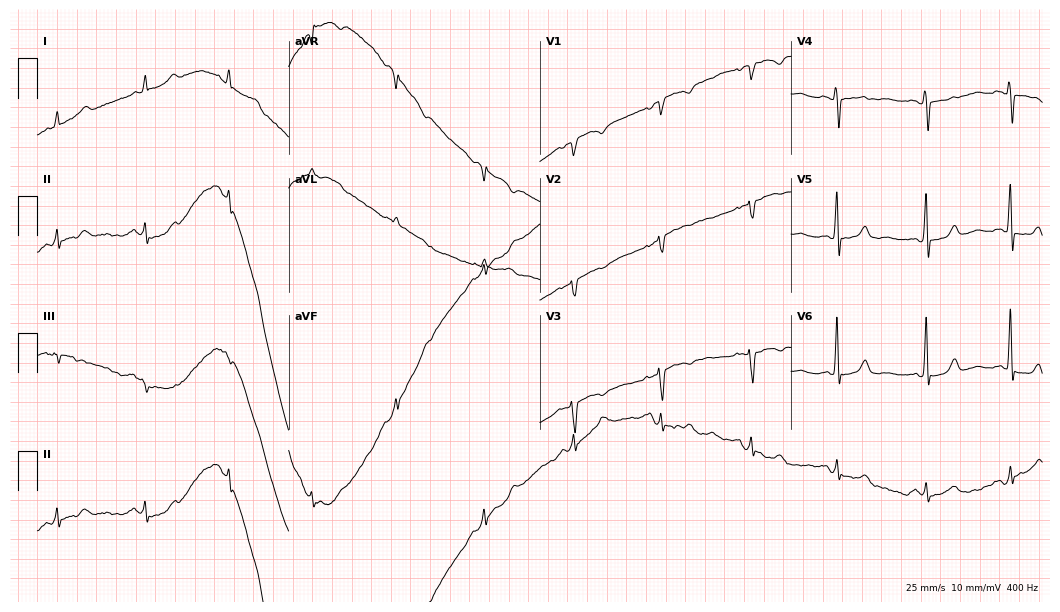
Standard 12-lead ECG recorded from a 64-year-old woman (10.2-second recording at 400 Hz). None of these six findings is recorded: first-degree AV block, right bundle branch block, left bundle branch block, sinus bradycardia, atrial fibrillation, sinus tachycardia.